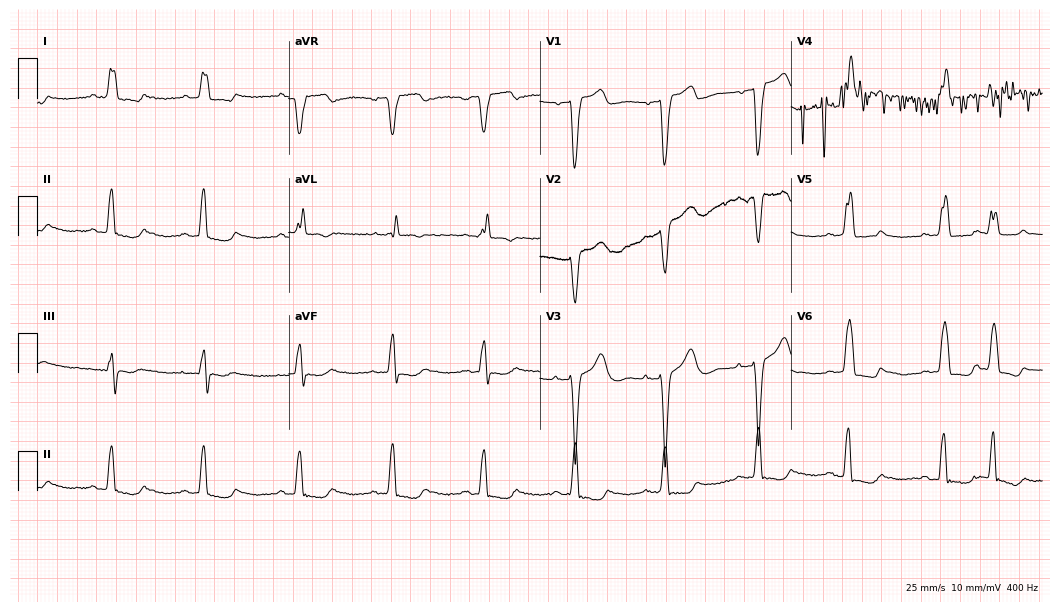
Resting 12-lead electrocardiogram. Patient: a woman, 77 years old. None of these six findings is recorded: first-degree AV block, right bundle branch block, left bundle branch block, sinus bradycardia, atrial fibrillation, sinus tachycardia. Other findings, if any, are not listed.